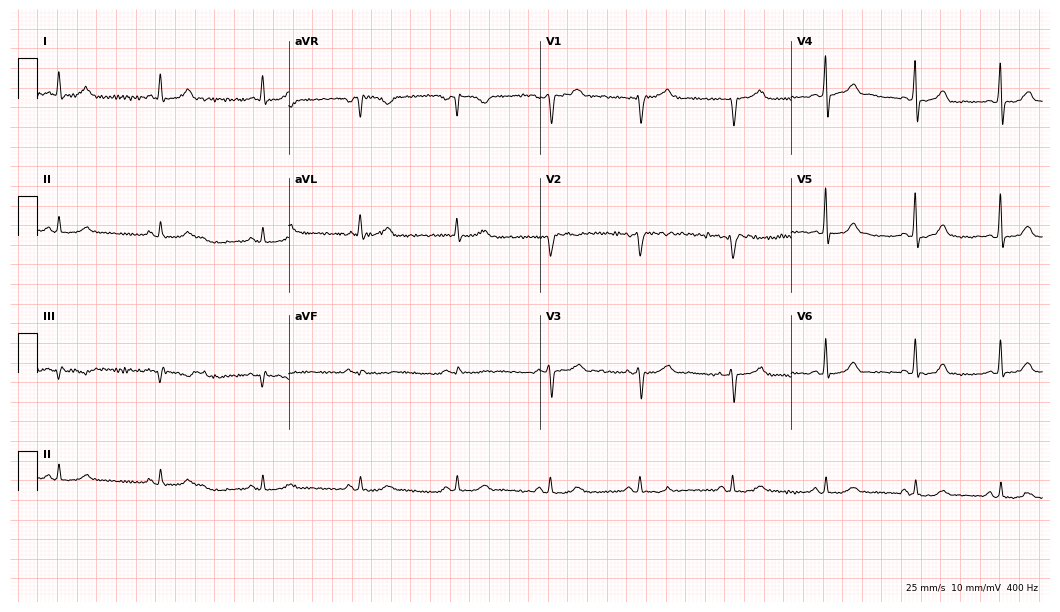
12-lead ECG from a 52-year-old male. Labelled as a normal ECG.